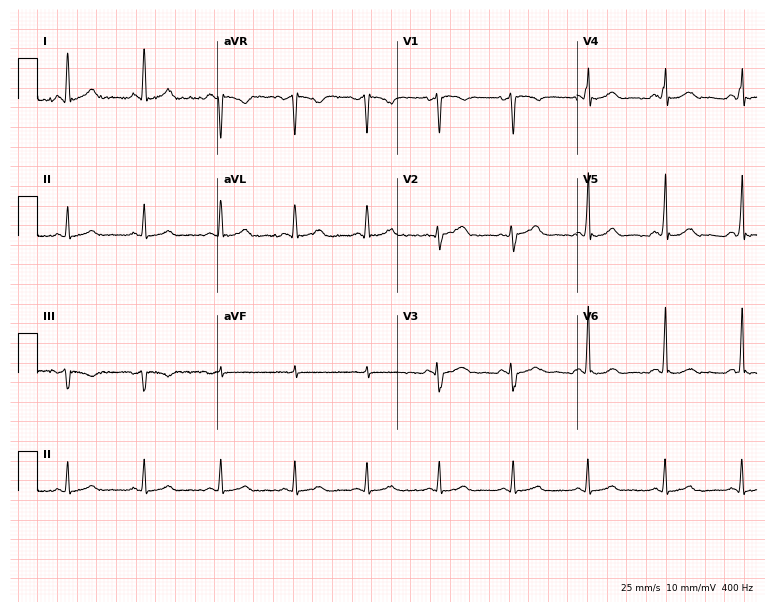
Standard 12-lead ECG recorded from a 41-year-old female. Read as a normal ECG.